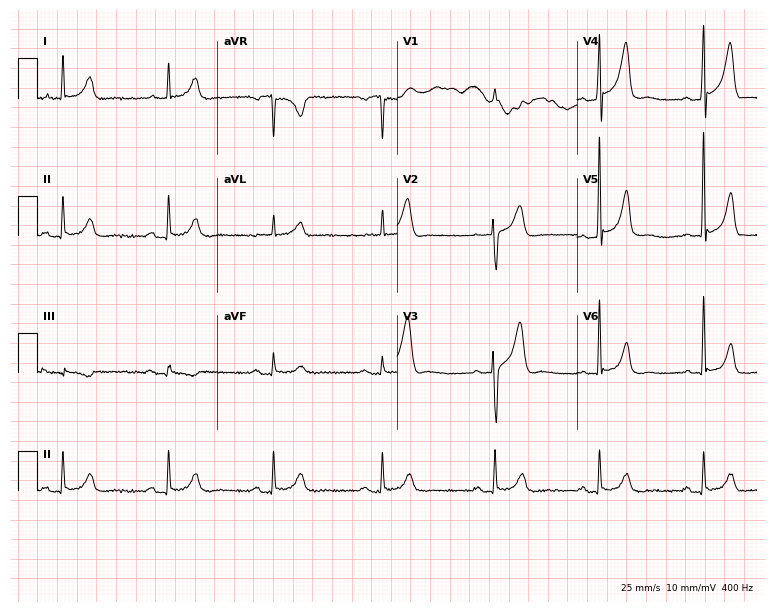
Electrocardiogram (7.3-second recording at 400 Hz), a man, 44 years old. Overall reading on record: normal ECG.